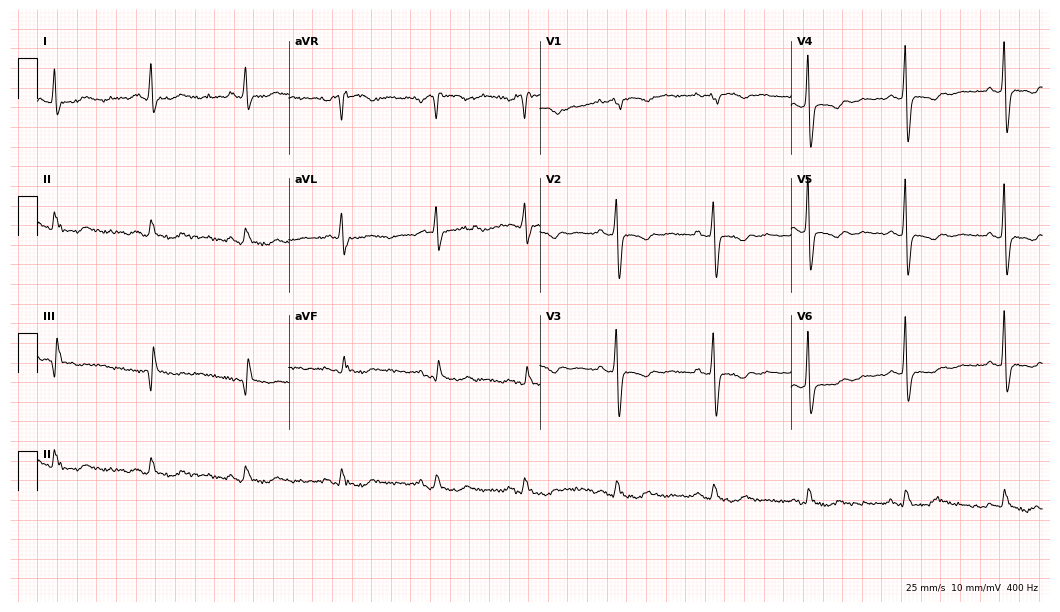
12-lead ECG from a female patient, 70 years old. Screened for six findings — first-degree AV block, right bundle branch block, left bundle branch block, sinus bradycardia, atrial fibrillation, sinus tachycardia — none is recorded.